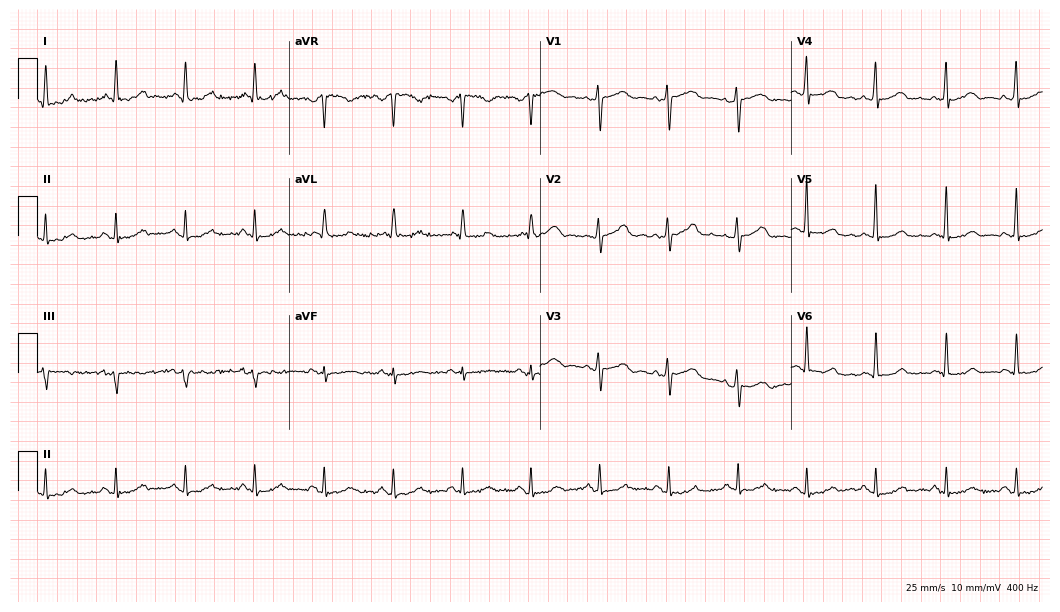
Standard 12-lead ECG recorded from a female, 53 years old. Read as a normal ECG.